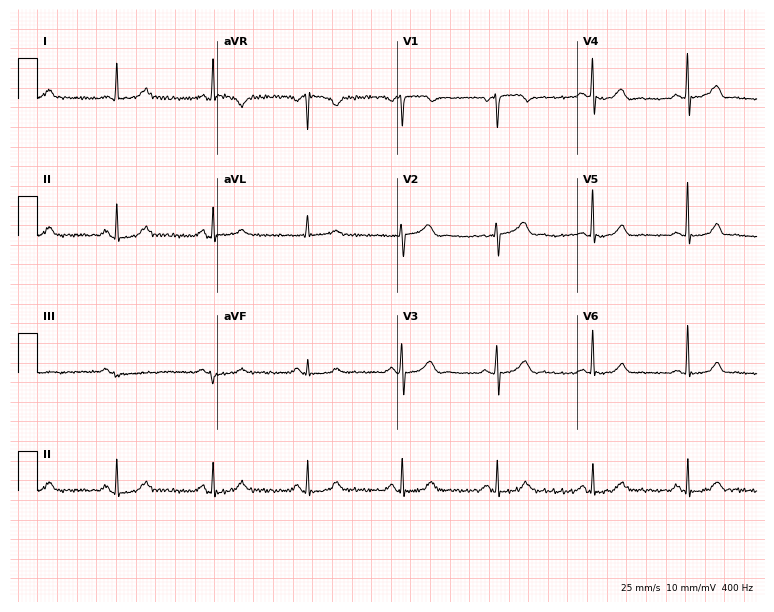
Standard 12-lead ECG recorded from a 66-year-old male. Read as a normal ECG.